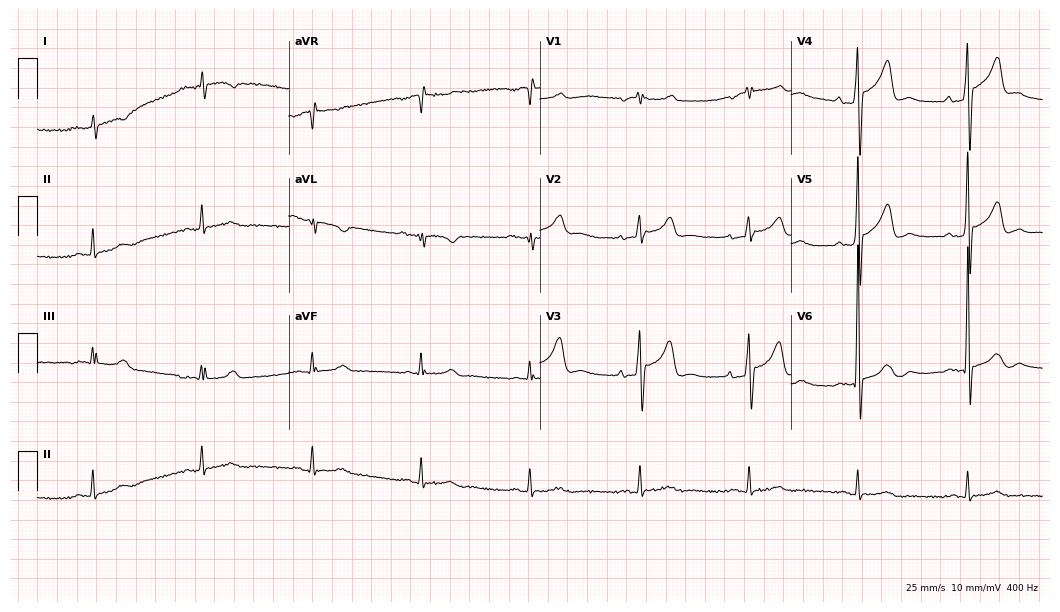
12-lead ECG from a 78-year-old male (10.2-second recording at 400 Hz). Recorded interpretation: within normal limits.